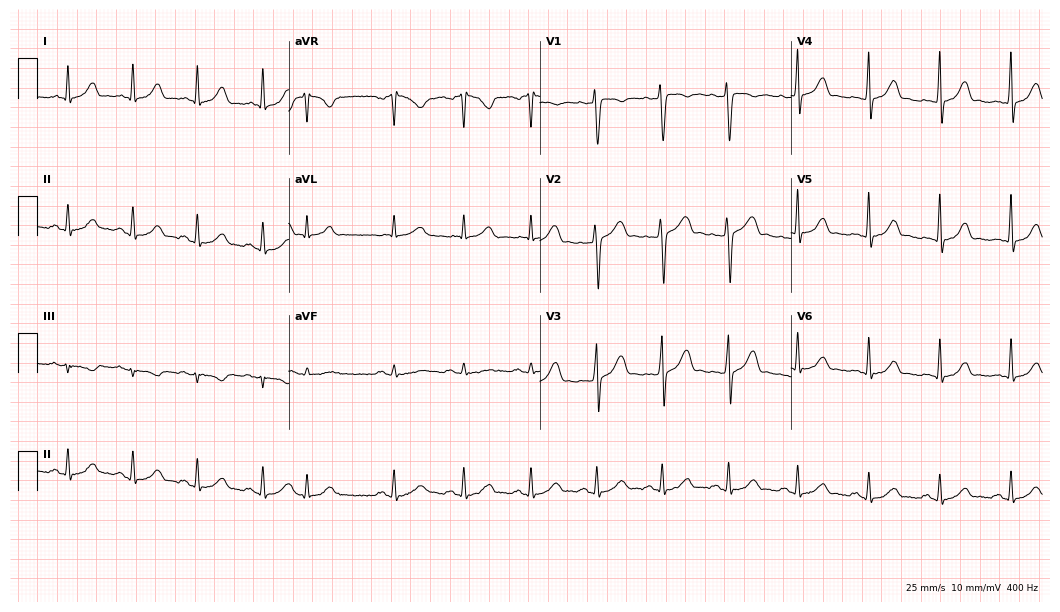
12-lead ECG from a man, 38 years old. No first-degree AV block, right bundle branch block, left bundle branch block, sinus bradycardia, atrial fibrillation or sinus tachycardia recorded for this tracing. Other findings, if any, are not listed.